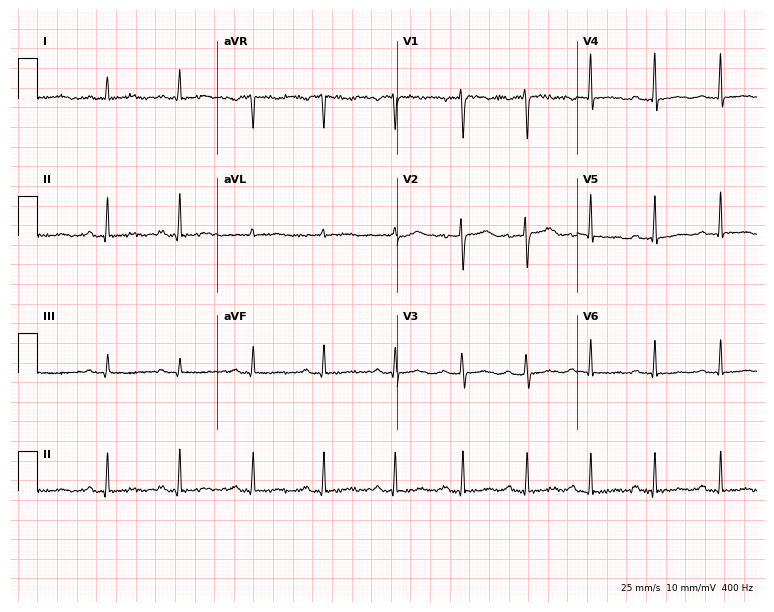
12-lead ECG from a 40-year-old woman (7.3-second recording at 400 Hz). No first-degree AV block, right bundle branch block, left bundle branch block, sinus bradycardia, atrial fibrillation or sinus tachycardia recorded for this tracing. Only these six findings were labelled.